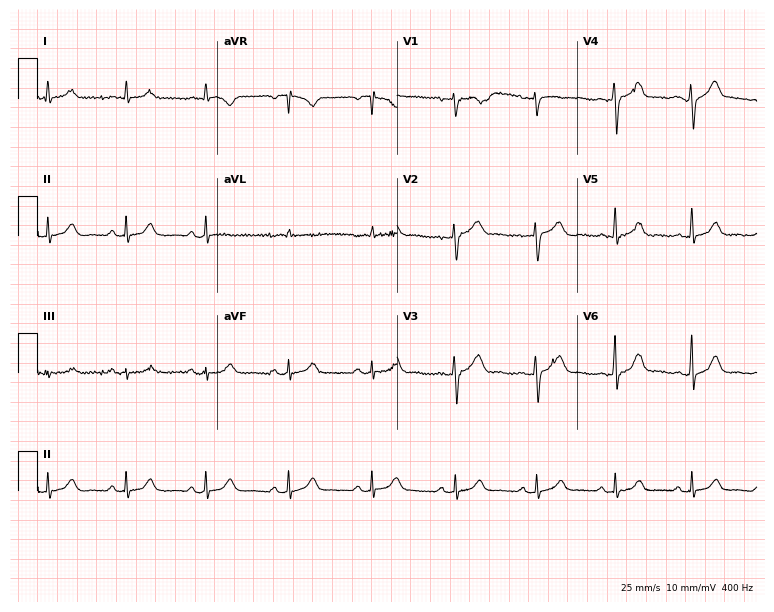
12-lead ECG from a female patient, 51 years old. No first-degree AV block, right bundle branch block (RBBB), left bundle branch block (LBBB), sinus bradycardia, atrial fibrillation (AF) or sinus tachycardia recorded for this tracing. Other findings, if any, are not listed.